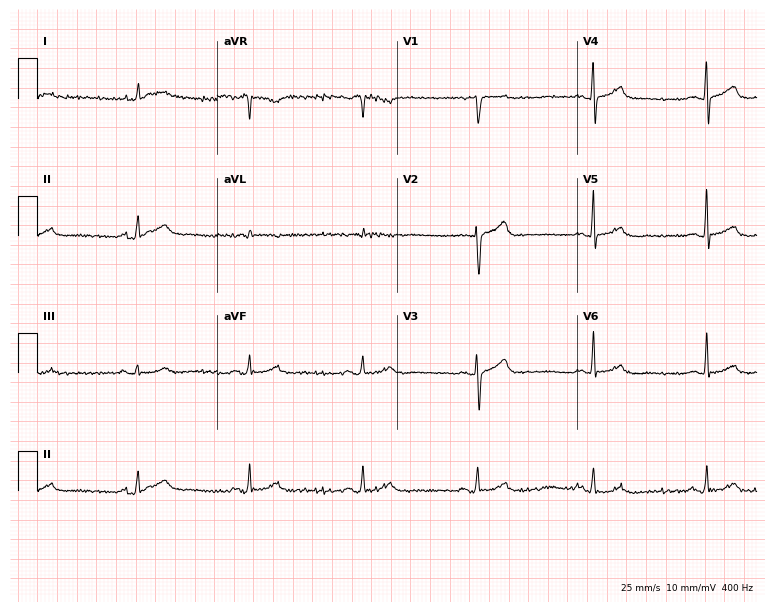
12-lead ECG from an 82-year-old male patient (7.3-second recording at 400 Hz). No first-degree AV block, right bundle branch block, left bundle branch block, sinus bradycardia, atrial fibrillation or sinus tachycardia recorded for this tracing.